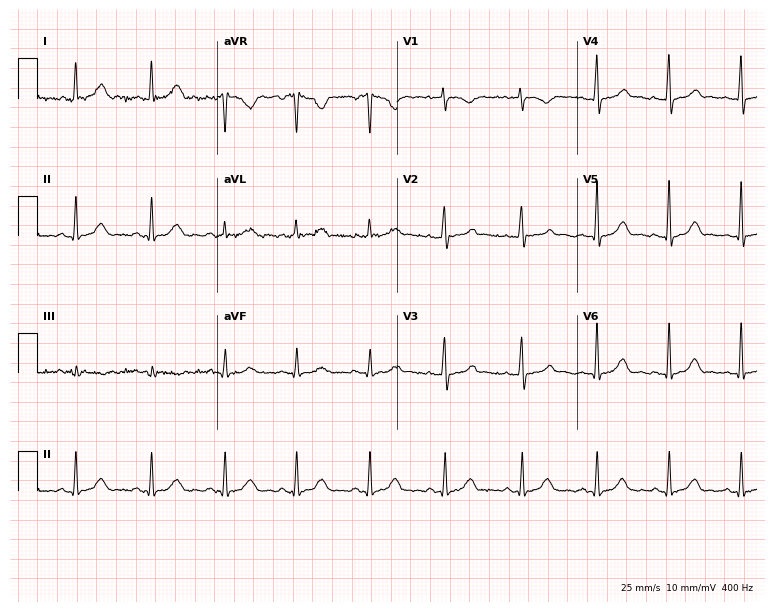
12-lead ECG from a 31-year-old female (7.3-second recording at 400 Hz). Recorded interpretation: within normal limits.